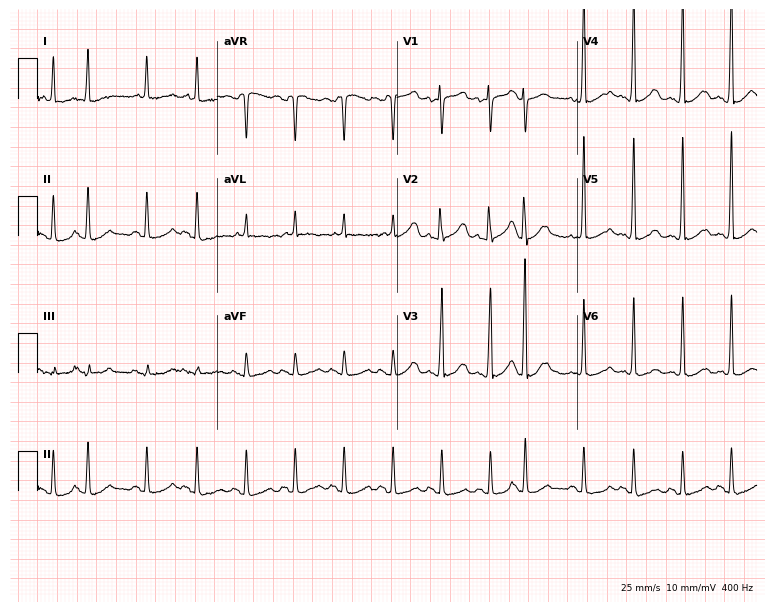
Resting 12-lead electrocardiogram. Patient: an 83-year-old female. None of these six findings is recorded: first-degree AV block, right bundle branch block (RBBB), left bundle branch block (LBBB), sinus bradycardia, atrial fibrillation (AF), sinus tachycardia.